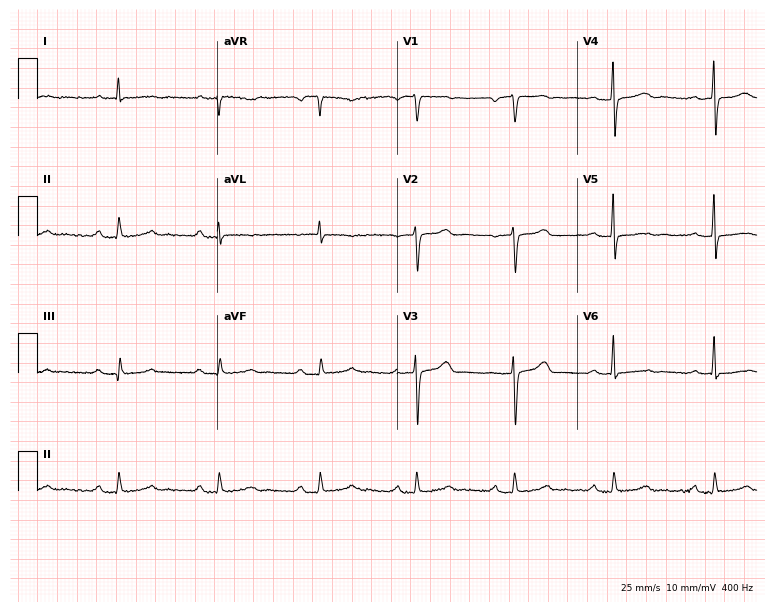
ECG — a female patient, 53 years old. Findings include first-degree AV block.